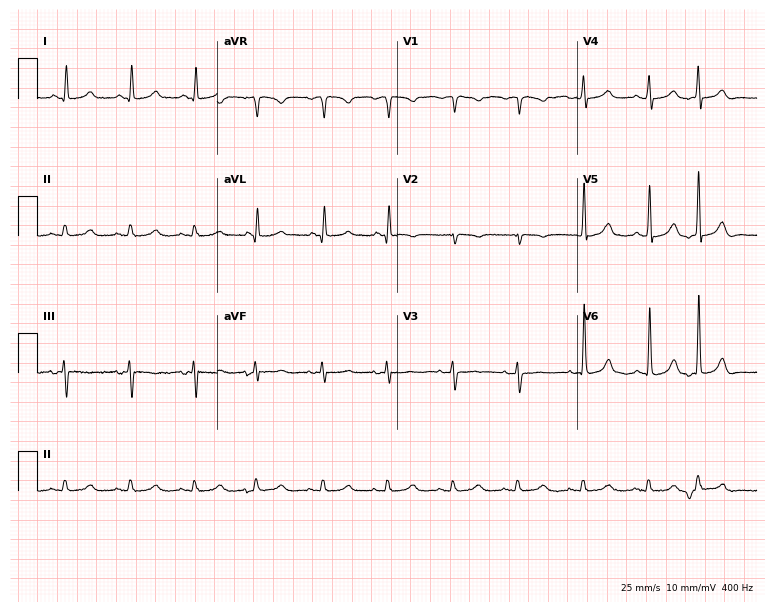
ECG (7.3-second recording at 400 Hz) — an 81-year-old female patient. Screened for six findings — first-degree AV block, right bundle branch block (RBBB), left bundle branch block (LBBB), sinus bradycardia, atrial fibrillation (AF), sinus tachycardia — none is recorded.